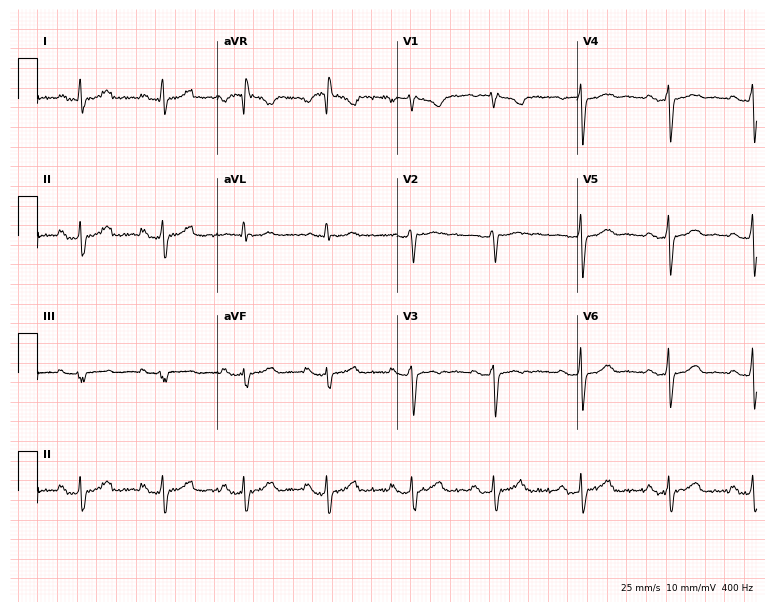
ECG (7.3-second recording at 400 Hz) — a female patient, 39 years old. Screened for six findings — first-degree AV block, right bundle branch block, left bundle branch block, sinus bradycardia, atrial fibrillation, sinus tachycardia — none is recorded. Only these six findings were labelled.